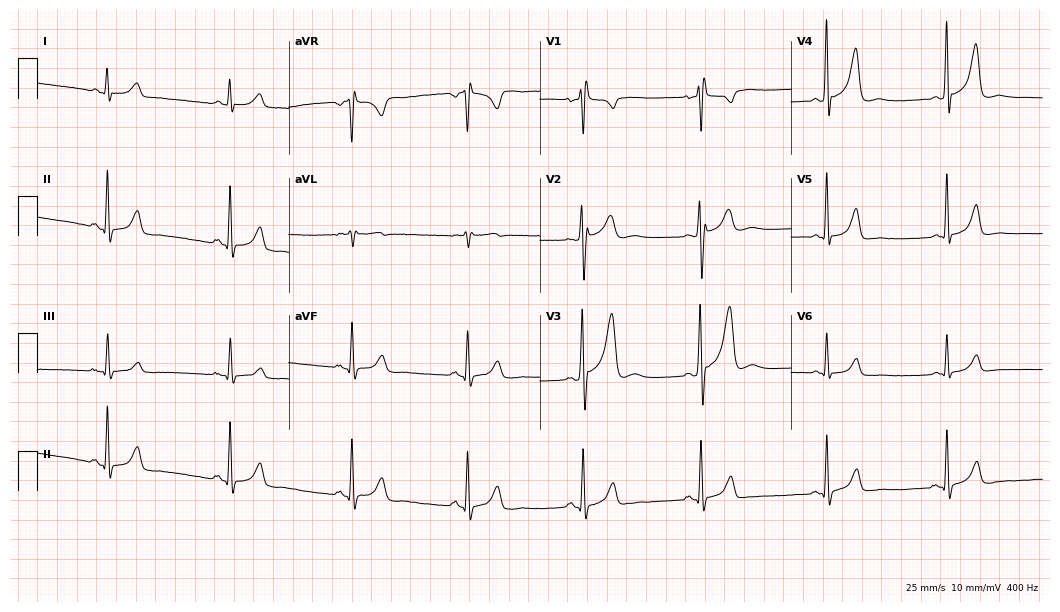
Resting 12-lead electrocardiogram (10.2-second recording at 400 Hz). Patient: a 50-year-old male. The tracing shows sinus bradycardia (a sinus rate of 50 beats per minute or less).